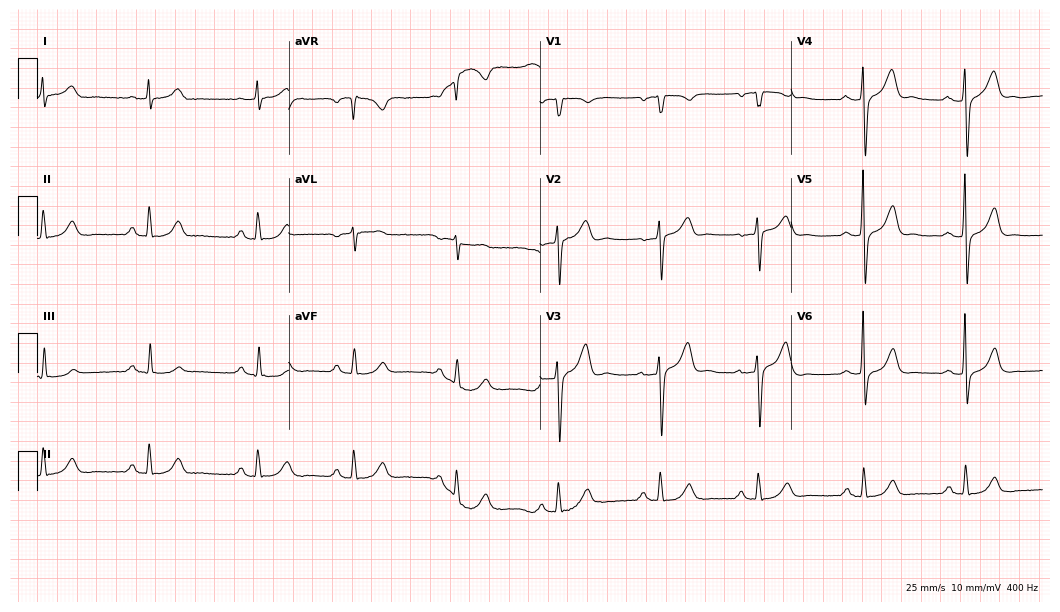
ECG — a male patient, 46 years old. Labelled as a normal ECG.